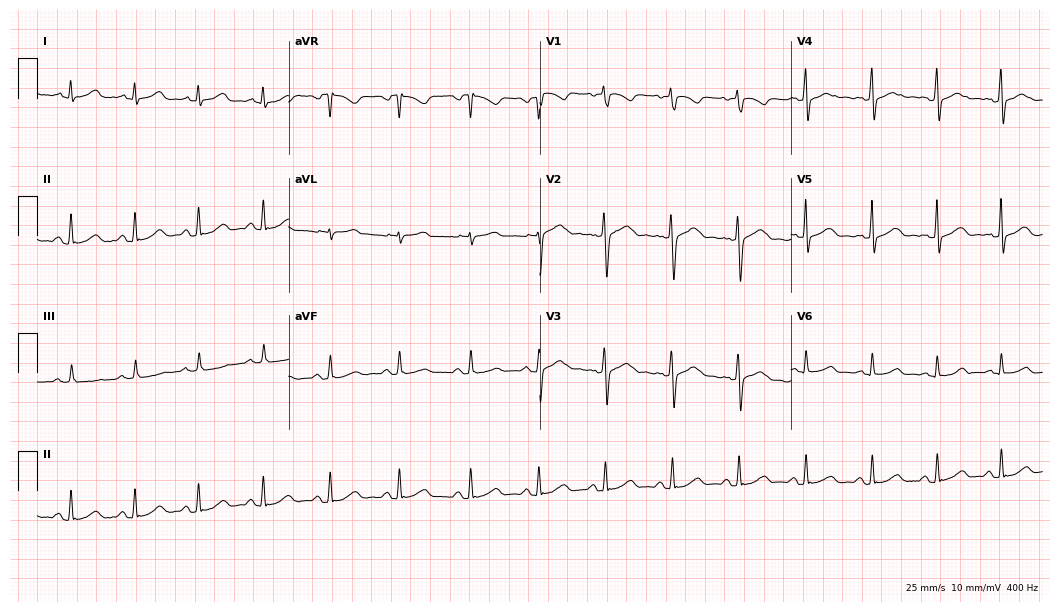
Electrocardiogram, a 39-year-old female patient. Overall reading on record: normal ECG.